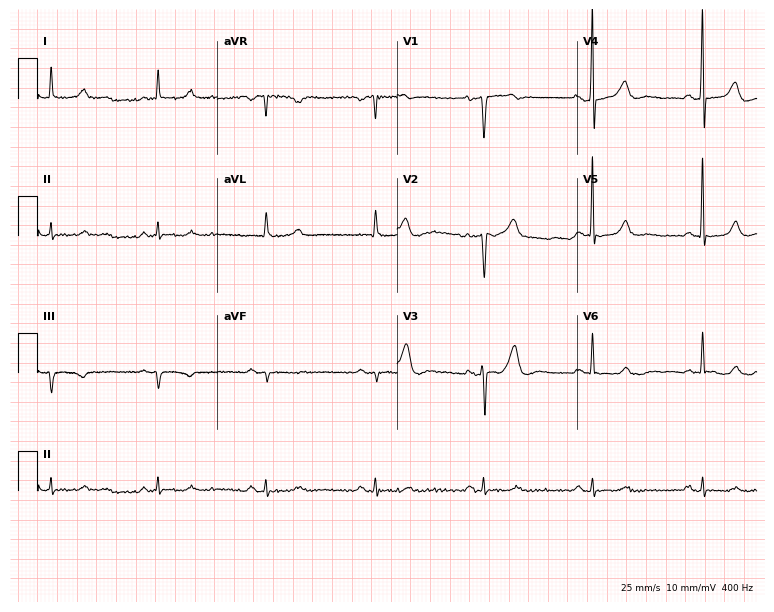
ECG — a male, 85 years old. Screened for six findings — first-degree AV block, right bundle branch block (RBBB), left bundle branch block (LBBB), sinus bradycardia, atrial fibrillation (AF), sinus tachycardia — none is recorded.